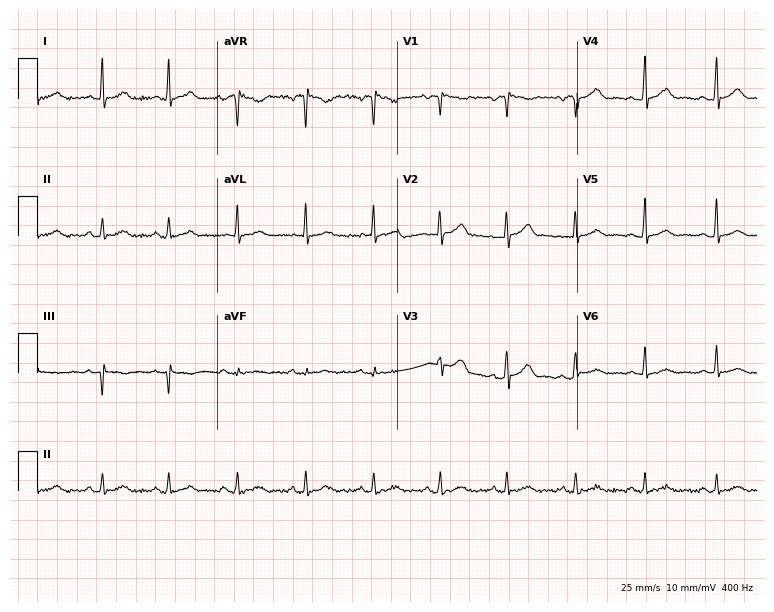
ECG (7.3-second recording at 400 Hz) — a 56-year-old man. Screened for six findings — first-degree AV block, right bundle branch block, left bundle branch block, sinus bradycardia, atrial fibrillation, sinus tachycardia — none is recorded.